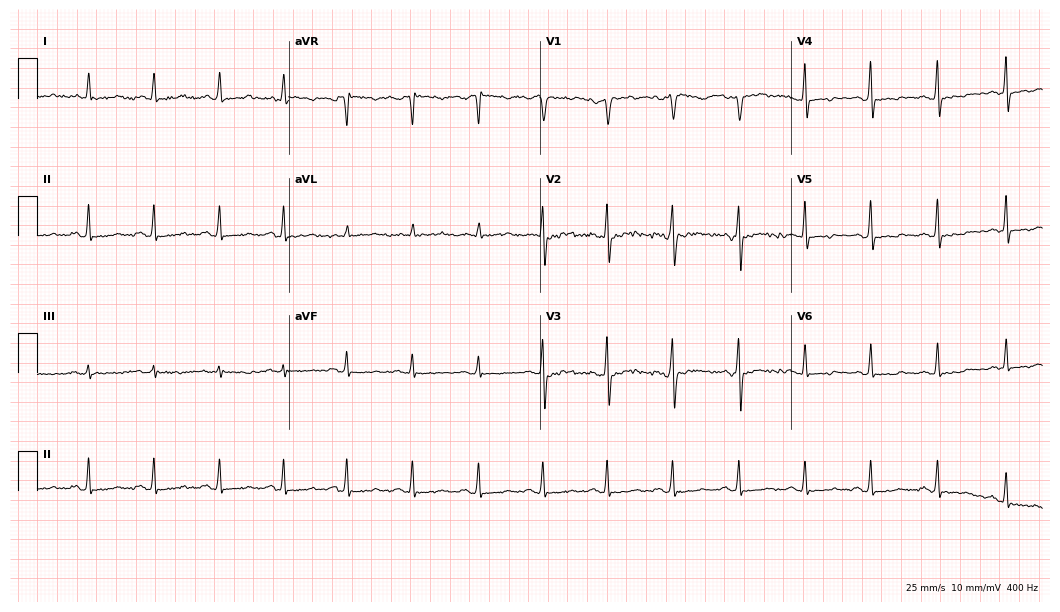
ECG (10.2-second recording at 400 Hz) — a female patient, 41 years old. Screened for six findings — first-degree AV block, right bundle branch block (RBBB), left bundle branch block (LBBB), sinus bradycardia, atrial fibrillation (AF), sinus tachycardia — none is recorded. Other findings, if any, are not listed.